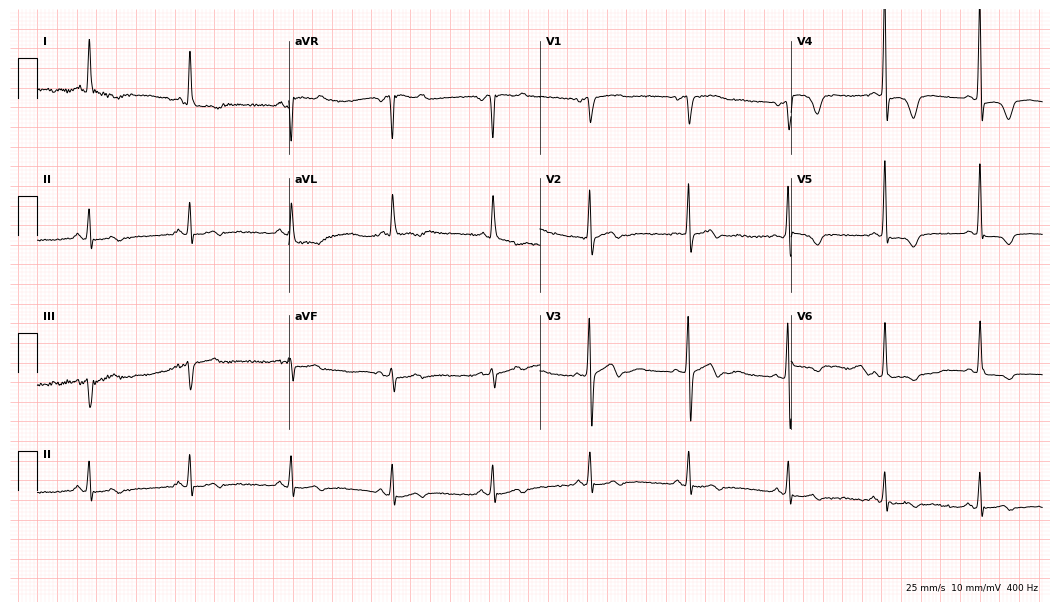
Resting 12-lead electrocardiogram. Patient: a 73-year-old woman. None of these six findings is recorded: first-degree AV block, right bundle branch block, left bundle branch block, sinus bradycardia, atrial fibrillation, sinus tachycardia.